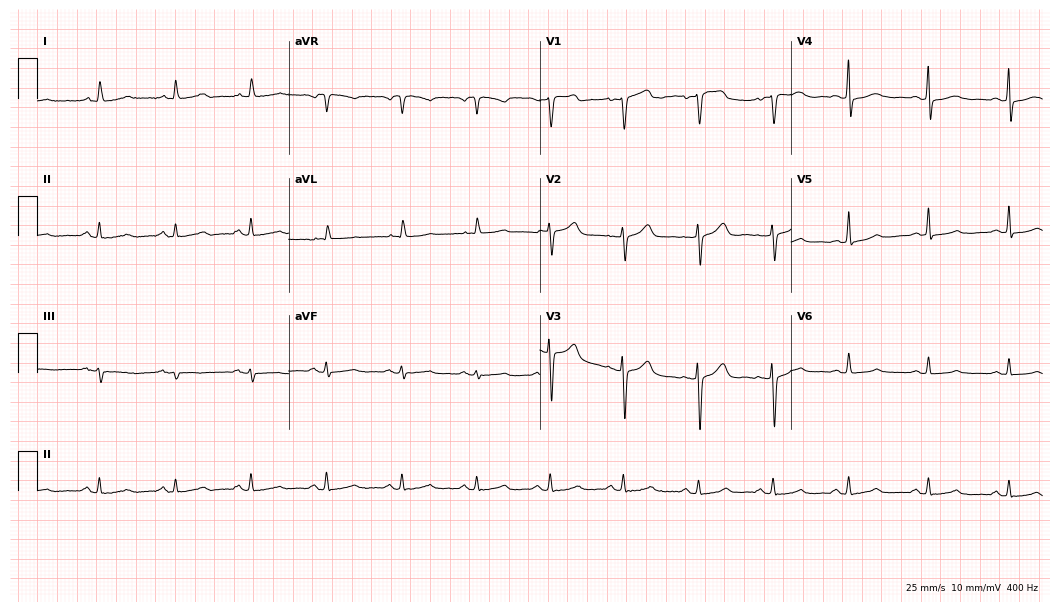
Standard 12-lead ECG recorded from a 57-year-old female patient. Read as a normal ECG.